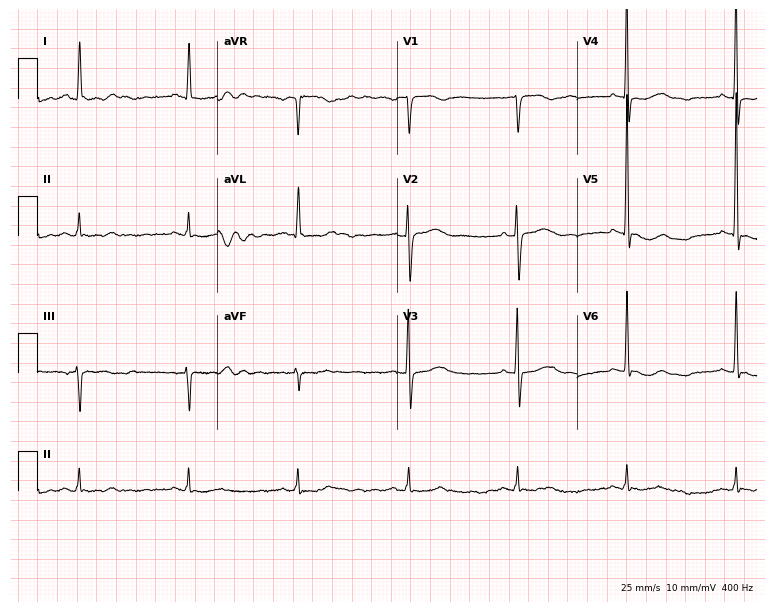
Standard 12-lead ECG recorded from an 82-year-old man. None of these six findings is recorded: first-degree AV block, right bundle branch block (RBBB), left bundle branch block (LBBB), sinus bradycardia, atrial fibrillation (AF), sinus tachycardia. Only these six findings were labelled.